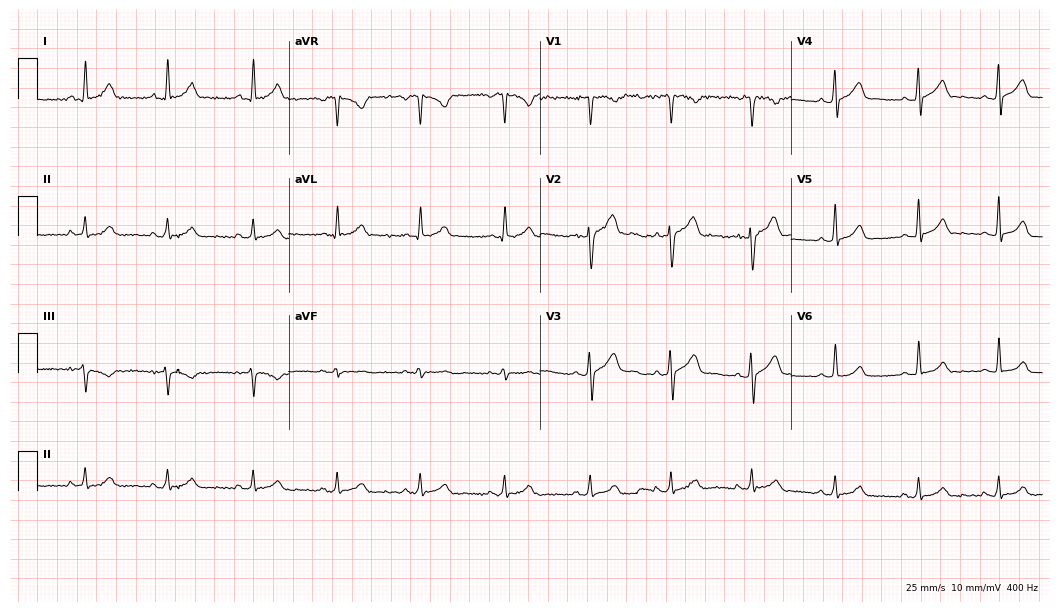
12-lead ECG from a male patient, 41 years old. Labelled as a normal ECG.